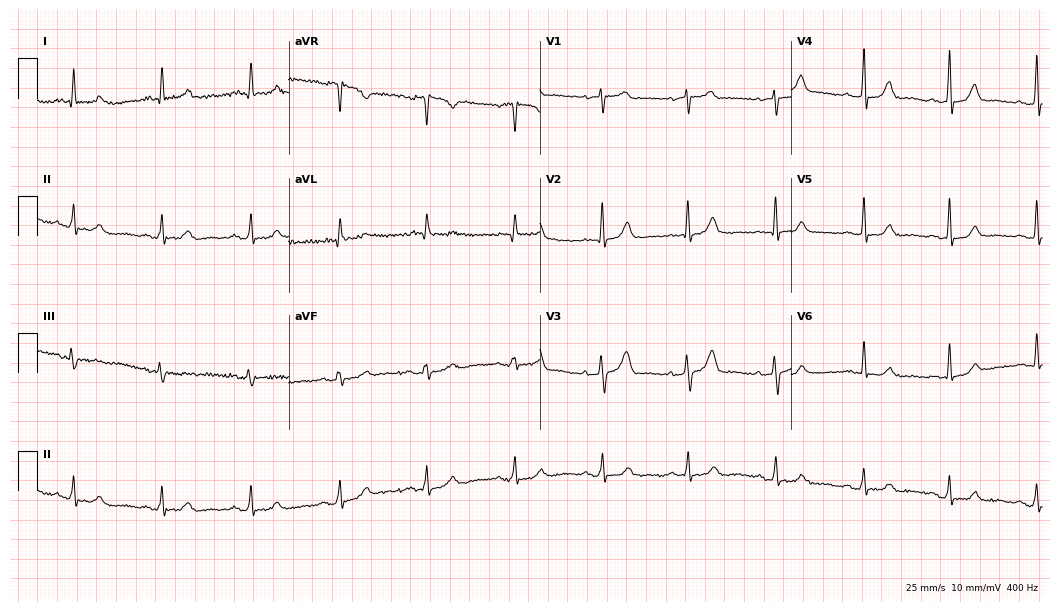
12-lead ECG from a 79-year-old female patient. No first-degree AV block, right bundle branch block (RBBB), left bundle branch block (LBBB), sinus bradycardia, atrial fibrillation (AF) or sinus tachycardia recorded for this tracing.